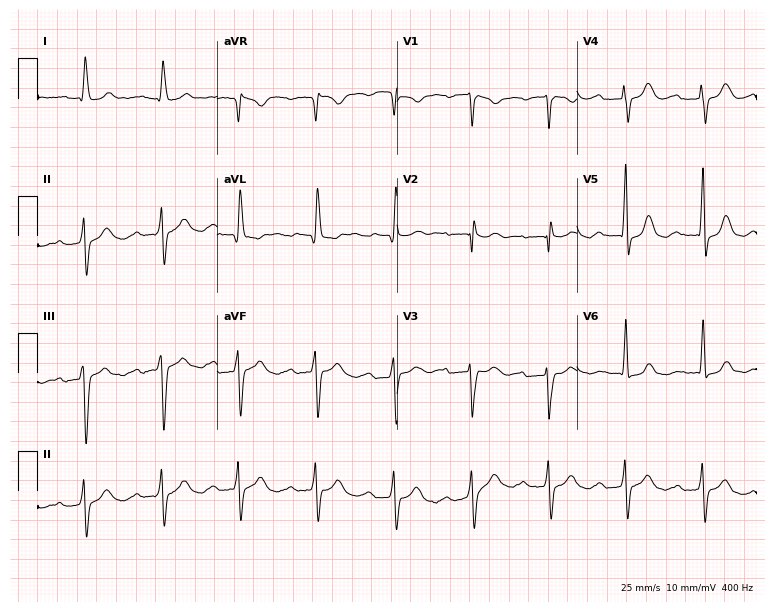
ECG (7.3-second recording at 400 Hz) — a female patient, 77 years old. Screened for six findings — first-degree AV block, right bundle branch block, left bundle branch block, sinus bradycardia, atrial fibrillation, sinus tachycardia — none is recorded.